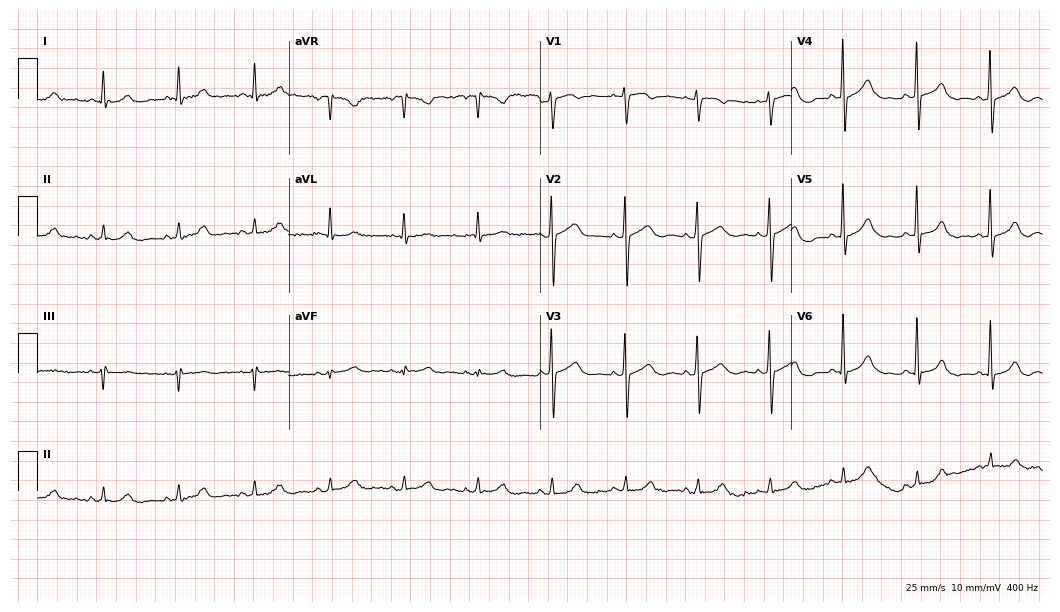
Electrocardiogram, a 67-year-old female patient. Overall reading on record: normal ECG.